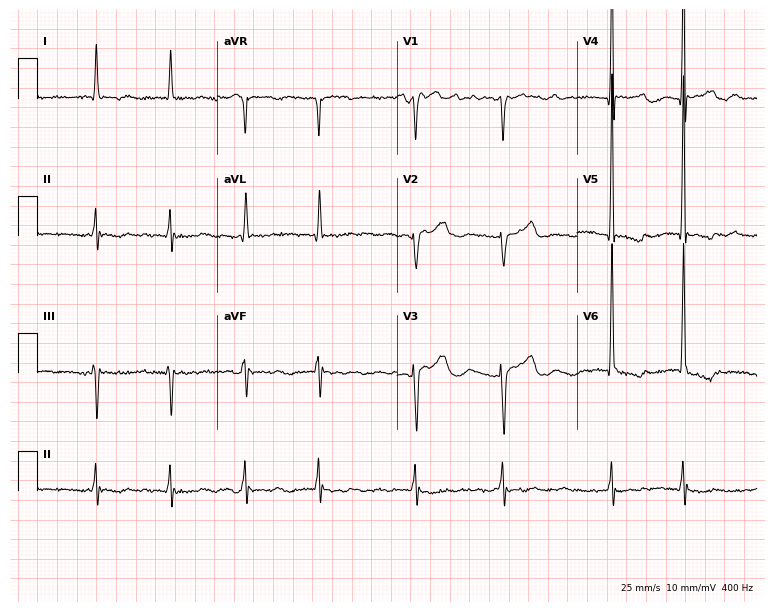
ECG — a 75-year-old male patient. Findings include atrial fibrillation.